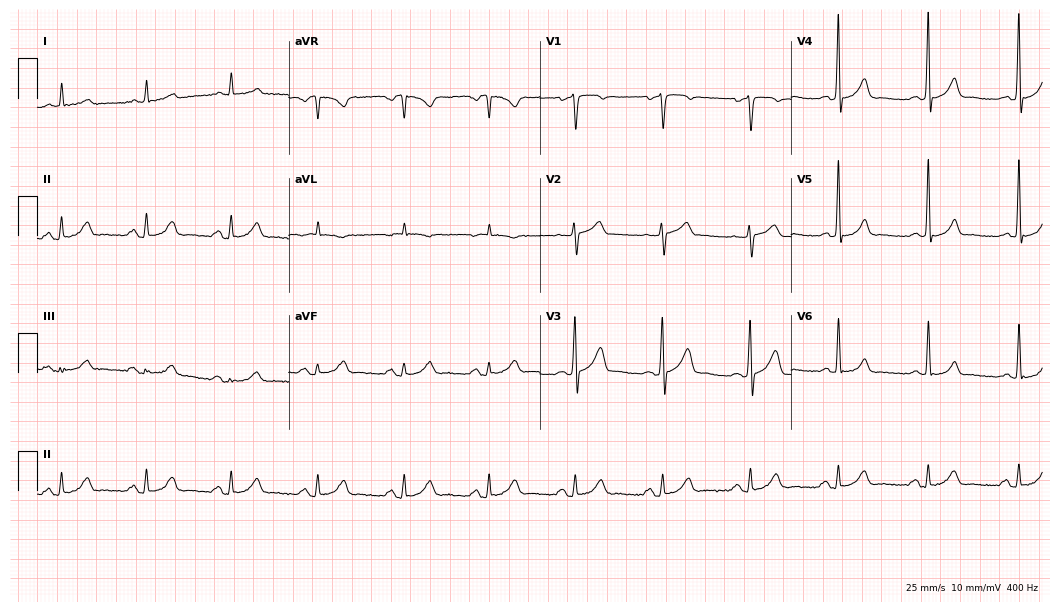
ECG — a 63-year-old male patient. Labelled as a normal ECG.